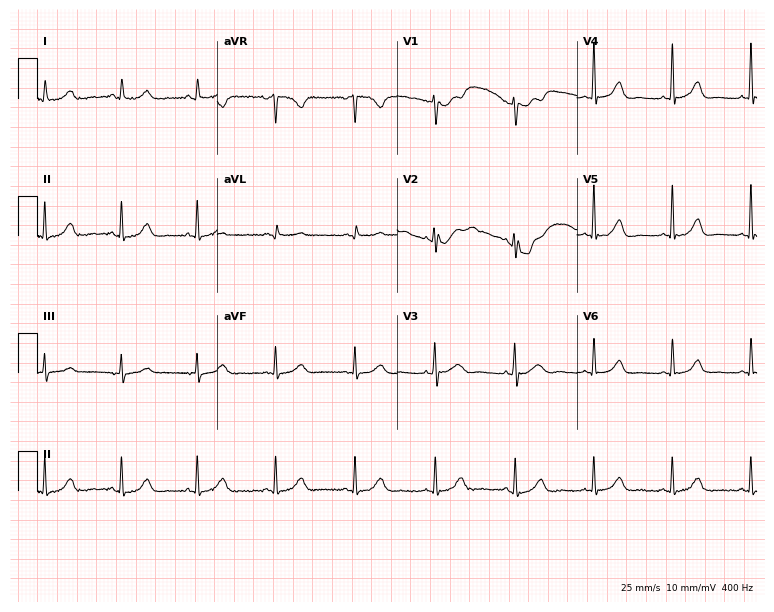
ECG (7.3-second recording at 400 Hz) — a 46-year-old female. Screened for six findings — first-degree AV block, right bundle branch block, left bundle branch block, sinus bradycardia, atrial fibrillation, sinus tachycardia — none is recorded. Other findings, if any, are not listed.